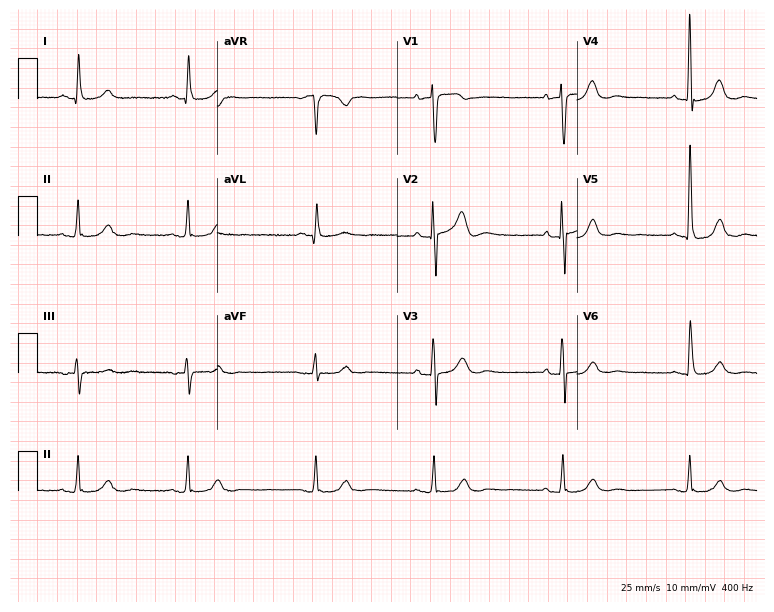
Electrocardiogram, a female patient, 80 years old. Interpretation includes sinus bradycardia (a sinus rate of 50 beats per minute or less).